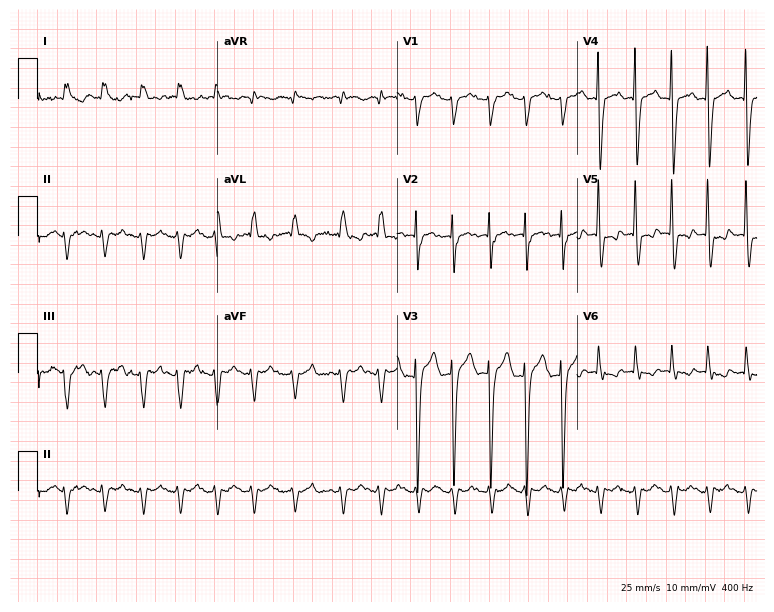
Electrocardiogram (7.3-second recording at 400 Hz), a 73-year-old man. Interpretation includes atrial fibrillation (AF), sinus tachycardia (a sinus rate of 100 beats per minute or more).